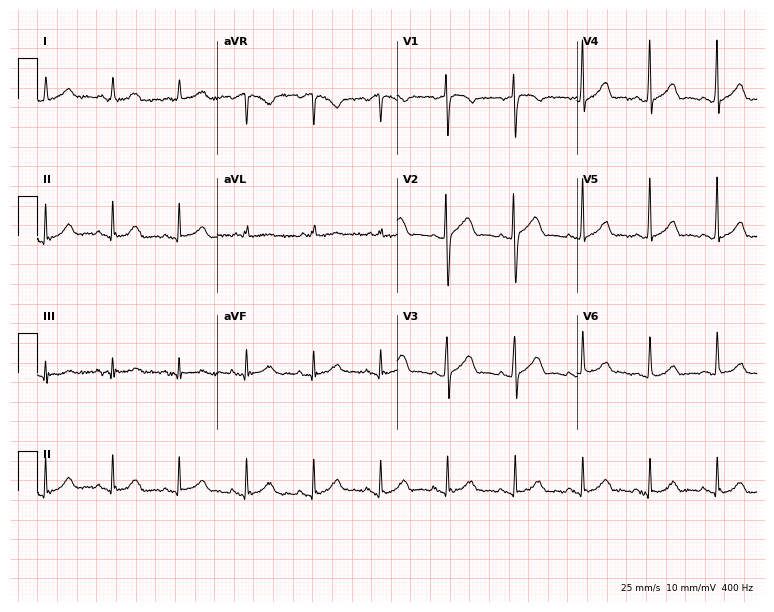
Resting 12-lead electrocardiogram. Patient: a 70-year-old female. Read as a normal ECG.